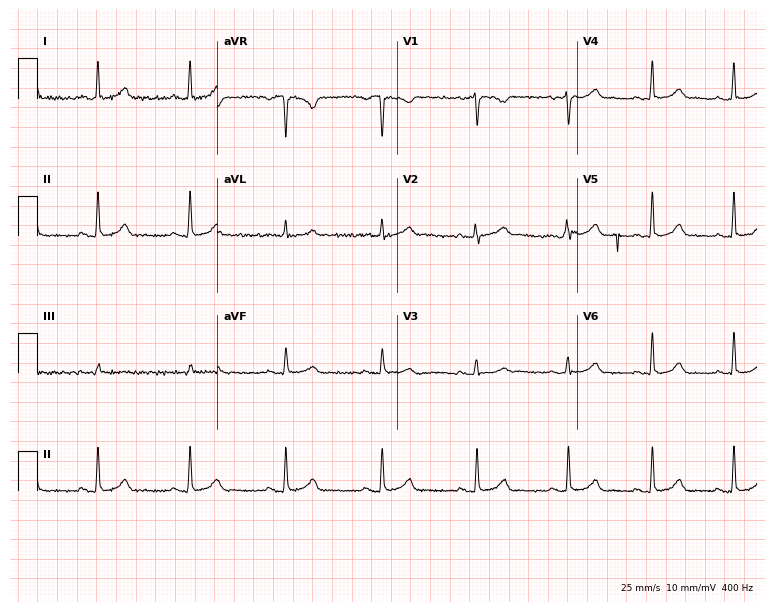
12-lead ECG from a 44-year-old female. Labelled as a normal ECG.